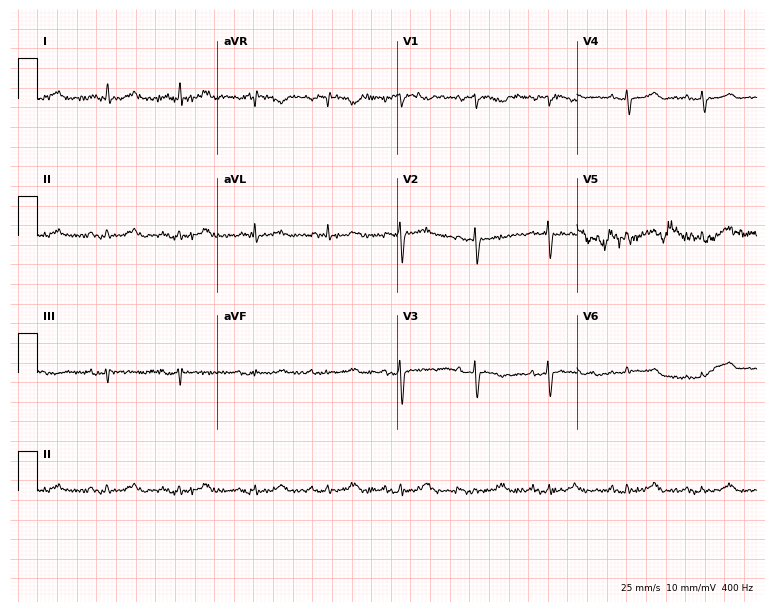
Standard 12-lead ECG recorded from a woman, 79 years old. None of these six findings is recorded: first-degree AV block, right bundle branch block, left bundle branch block, sinus bradycardia, atrial fibrillation, sinus tachycardia.